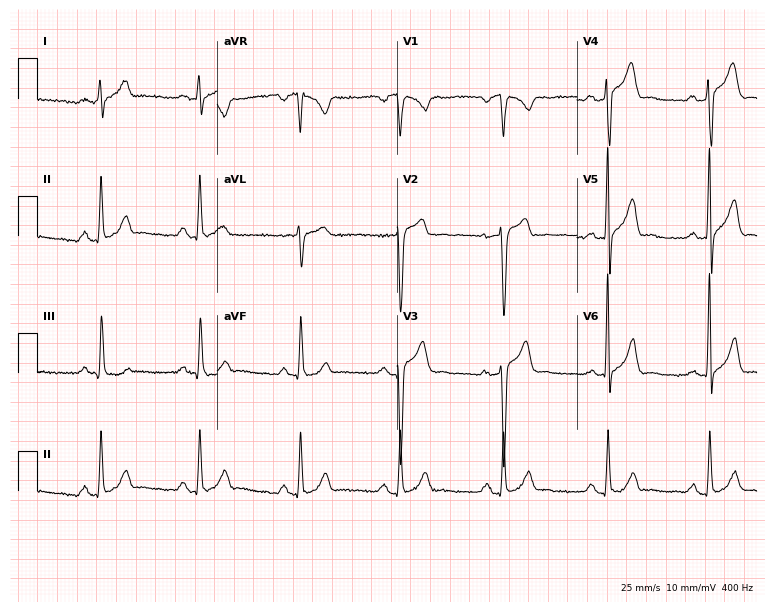
Standard 12-lead ECG recorded from a female patient, 28 years old. Read as a normal ECG.